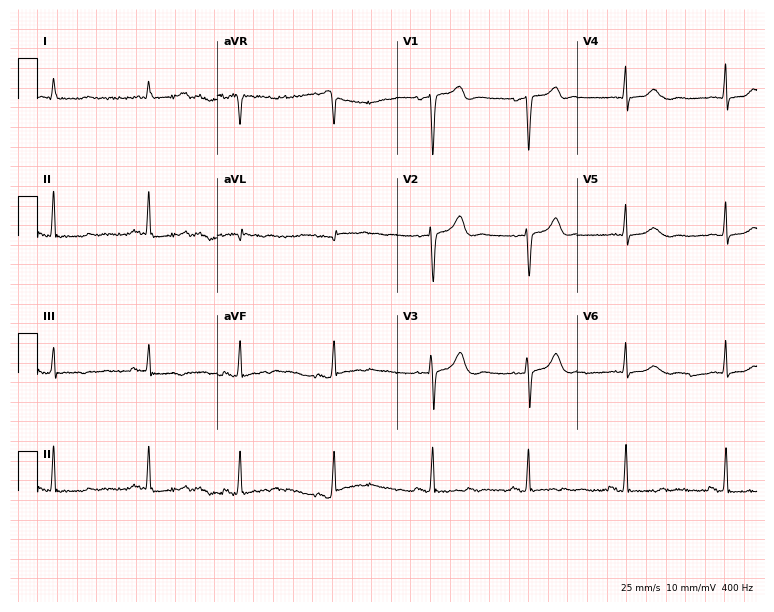
Electrocardiogram, a male patient, 74 years old. Of the six screened findings (first-degree AV block, right bundle branch block, left bundle branch block, sinus bradycardia, atrial fibrillation, sinus tachycardia), none is recorded. Only these six findings were labelled.